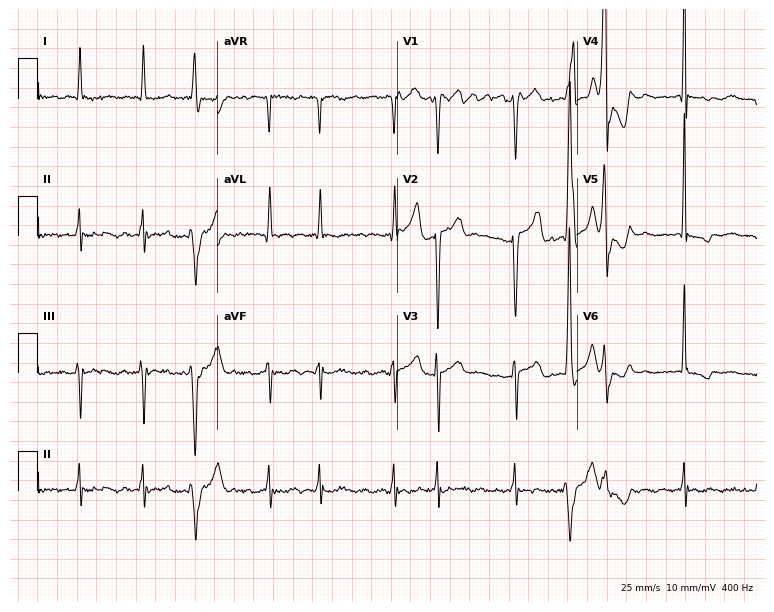
12-lead ECG from a man, 74 years old (7.3-second recording at 400 Hz). Shows atrial fibrillation.